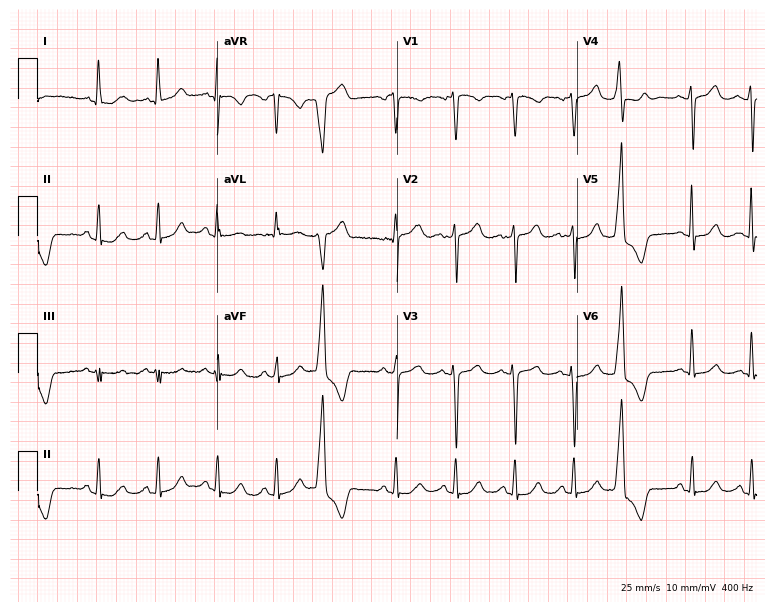
12-lead ECG (7.3-second recording at 400 Hz) from a 49-year-old female. Screened for six findings — first-degree AV block, right bundle branch block, left bundle branch block, sinus bradycardia, atrial fibrillation, sinus tachycardia — none is recorded. Only these six findings were labelled.